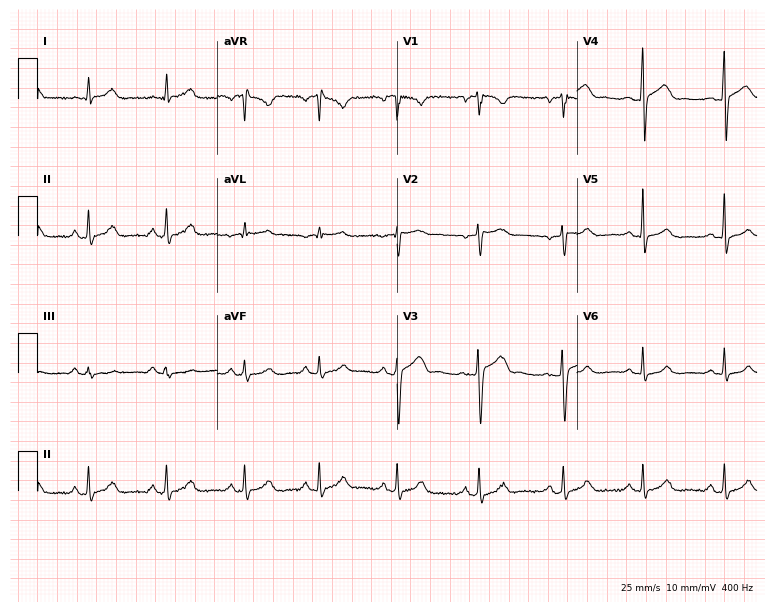
Electrocardiogram, a 33-year-old male patient. Overall reading on record: normal ECG.